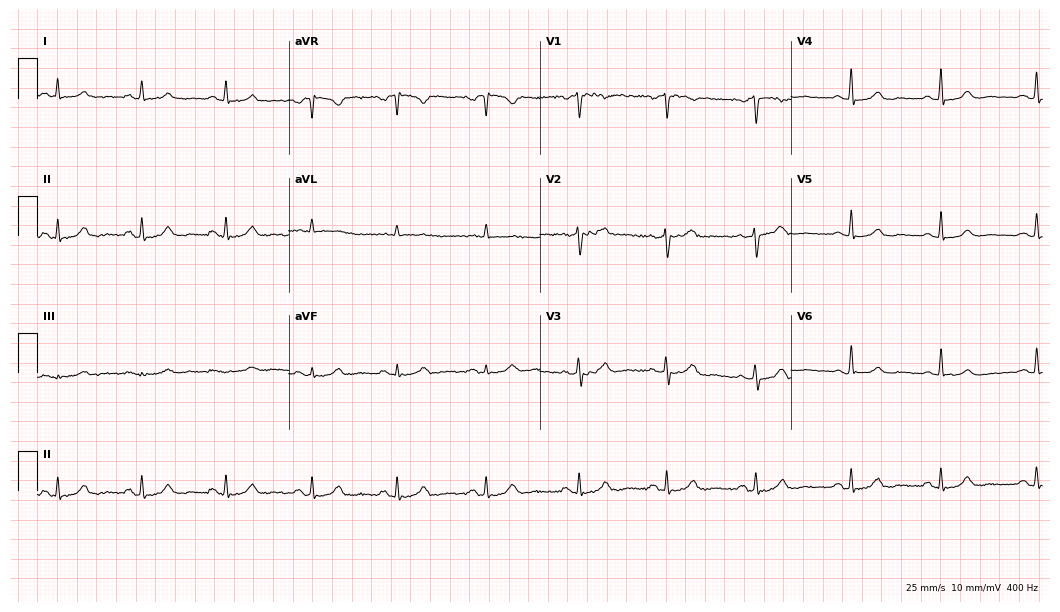
12-lead ECG from a 60-year-old female. Recorded interpretation: within normal limits.